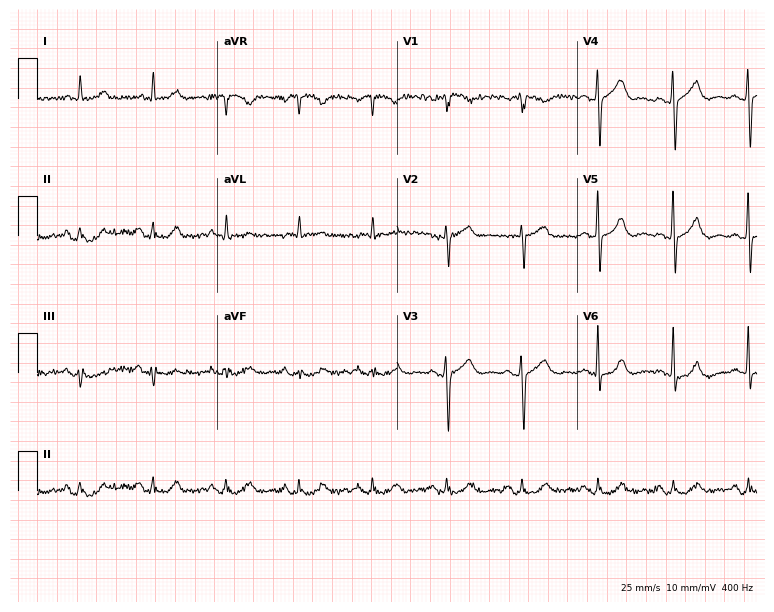
Standard 12-lead ECG recorded from a female, 58 years old (7.3-second recording at 400 Hz). None of these six findings is recorded: first-degree AV block, right bundle branch block, left bundle branch block, sinus bradycardia, atrial fibrillation, sinus tachycardia.